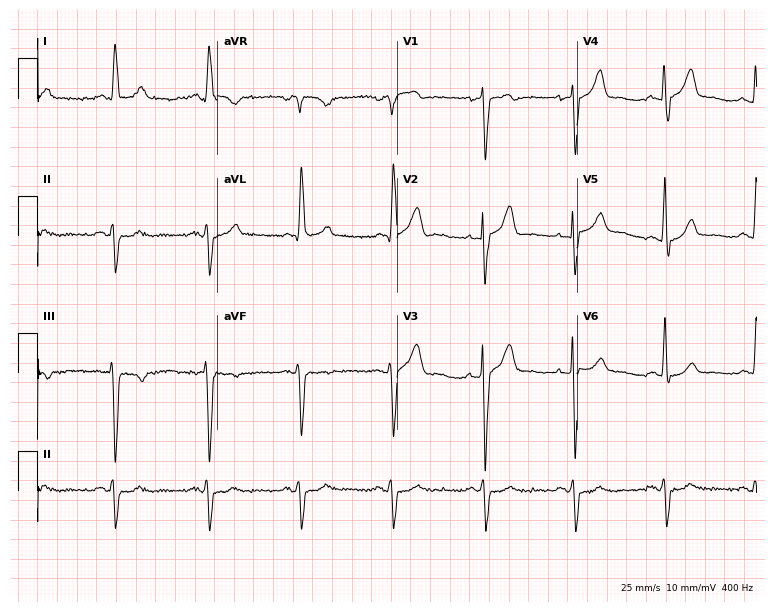
ECG — a man, 85 years old. Screened for six findings — first-degree AV block, right bundle branch block, left bundle branch block, sinus bradycardia, atrial fibrillation, sinus tachycardia — none is recorded.